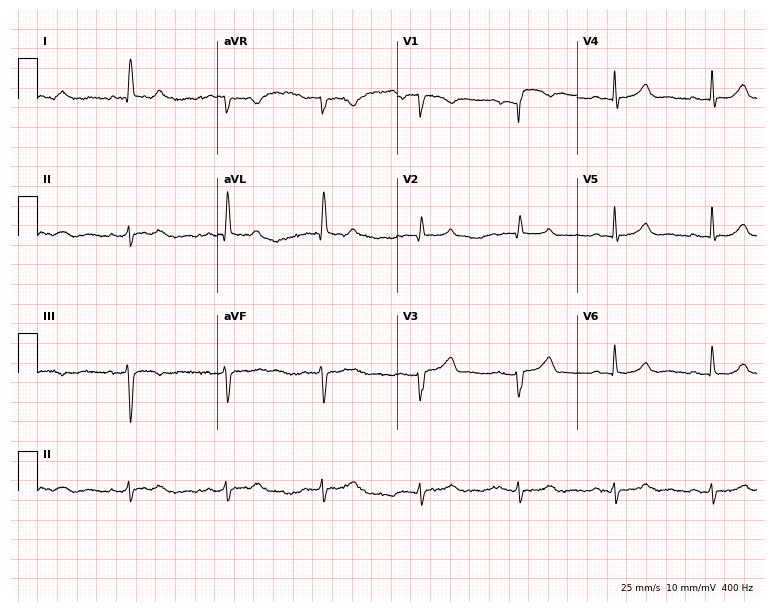
Resting 12-lead electrocardiogram (7.3-second recording at 400 Hz). Patient: a 78-year-old female. Read as a normal ECG.